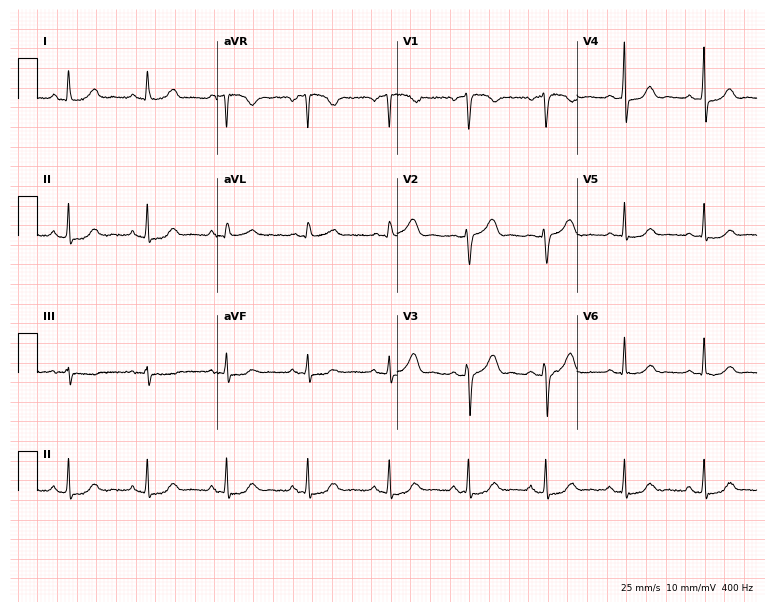
Electrocardiogram, a 43-year-old female patient. Of the six screened findings (first-degree AV block, right bundle branch block, left bundle branch block, sinus bradycardia, atrial fibrillation, sinus tachycardia), none is recorded.